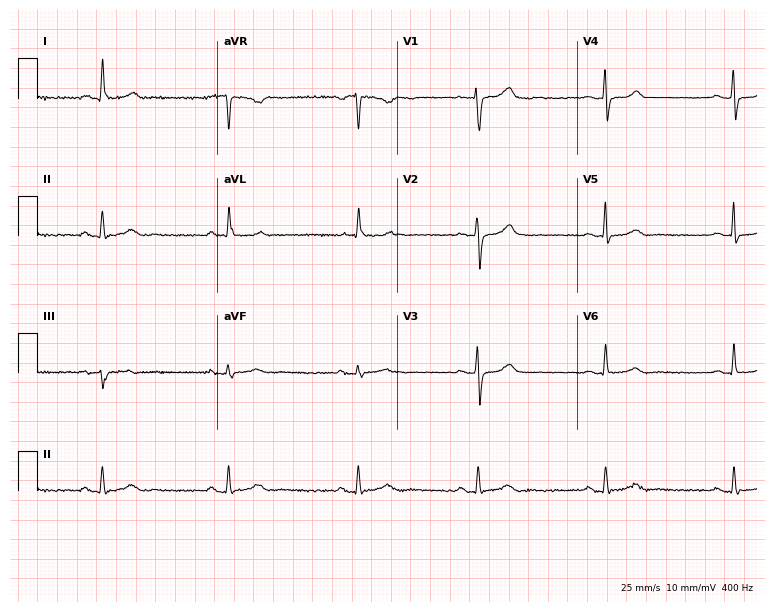
12-lead ECG from a 53-year-old female patient. Shows sinus bradycardia (a sinus rate of 50 beats per minute or less).